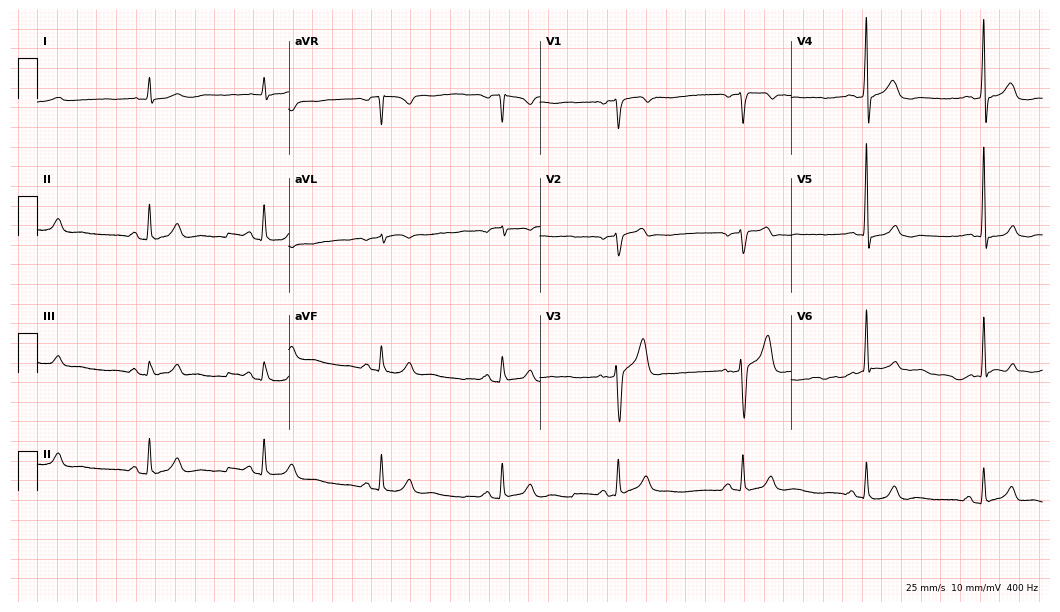
Electrocardiogram (10.2-second recording at 400 Hz), a man, 61 years old. Interpretation includes sinus bradycardia (a sinus rate of 50 beats per minute or less).